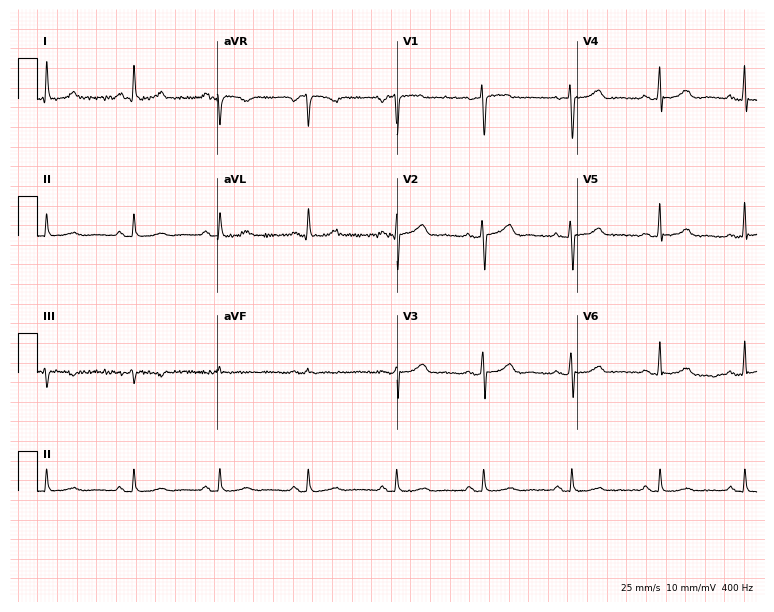
12-lead ECG from a female, 51 years old (7.3-second recording at 400 Hz). Recorded interpretation: within normal limits.